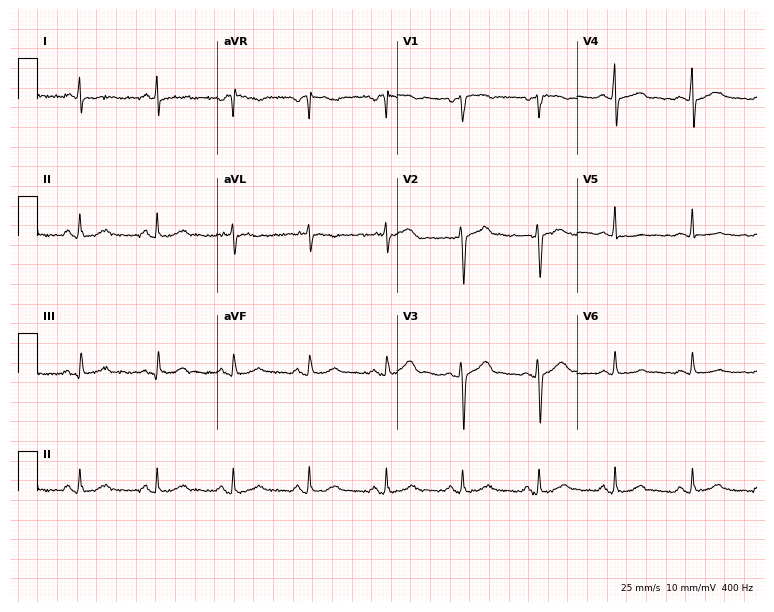
Resting 12-lead electrocardiogram. Patient: a 45-year-old man. None of these six findings is recorded: first-degree AV block, right bundle branch block (RBBB), left bundle branch block (LBBB), sinus bradycardia, atrial fibrillation (AF), sinus tachycardia.